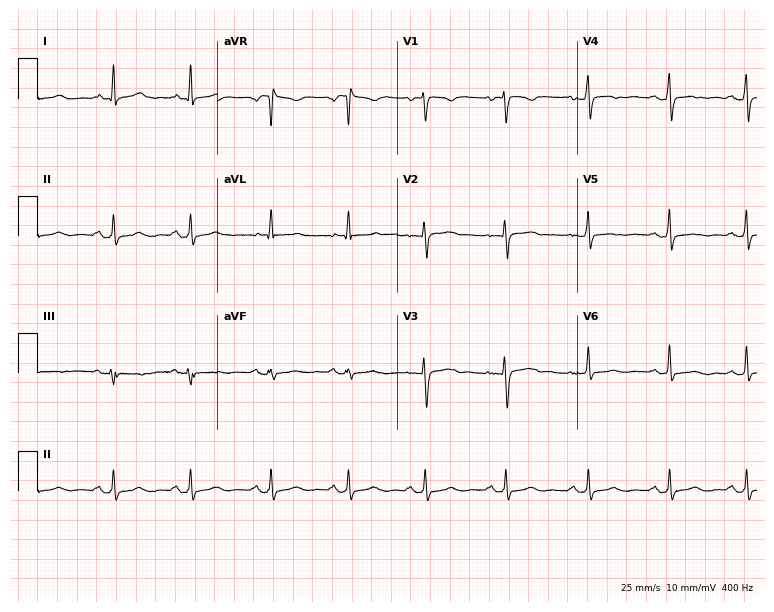
12-lead ECG (7.3-second recording at 400 Hz) from a woman, 36 years old. Screened for six findings — first-degree AV block, right bundle branch block (RBBB), left bundle branch block (LBBB), sinus bradycardia, atrial fibrillation (AF), sinus tachycardia — none is recorded.